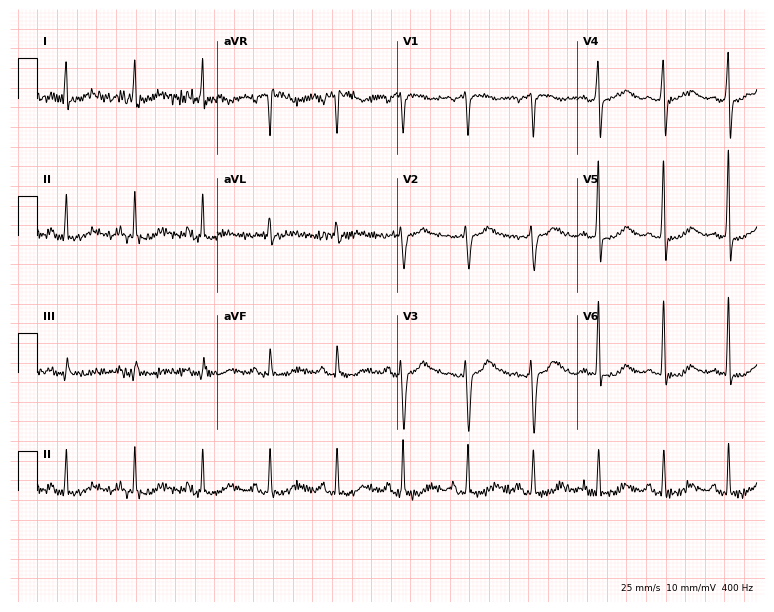
12-lead ECG from a 49-year-old female patient. Recorded interpretation: within normal limits.